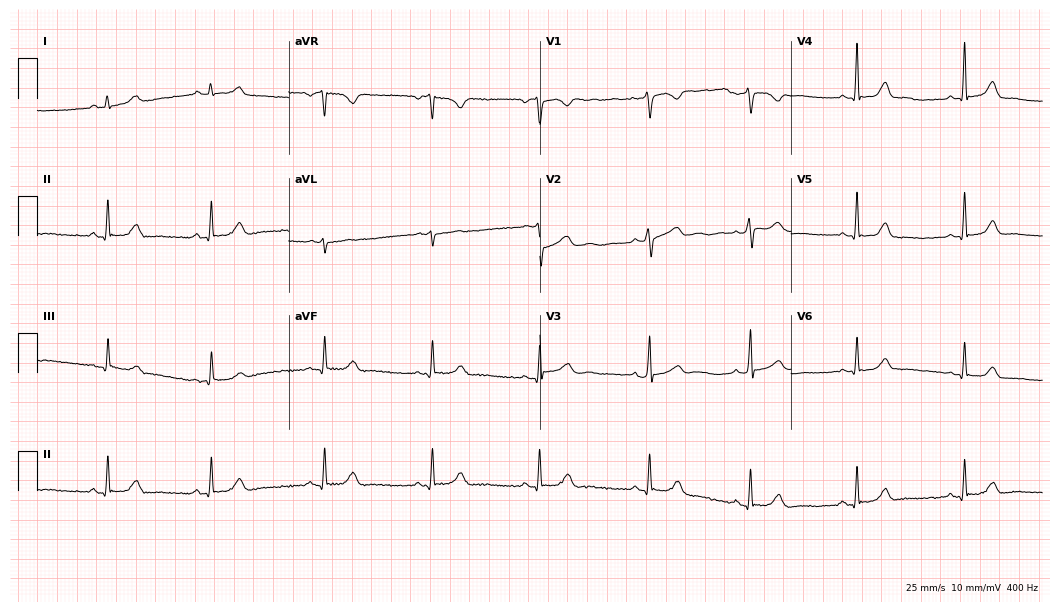
Electrocardiogram, a 31-year-old female patient. Overall reading on record: normal ECG.